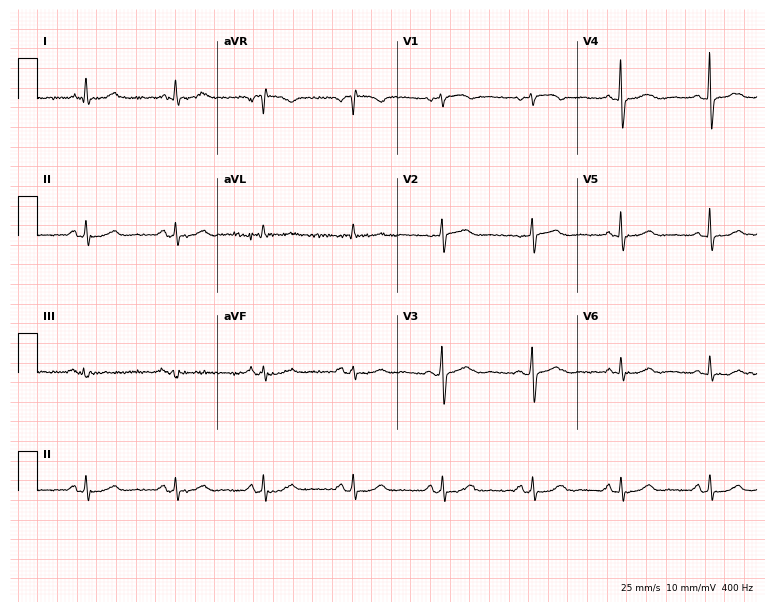
Electrocardiogram, a female, 64 years old. Overall reading on record: normal ECG.